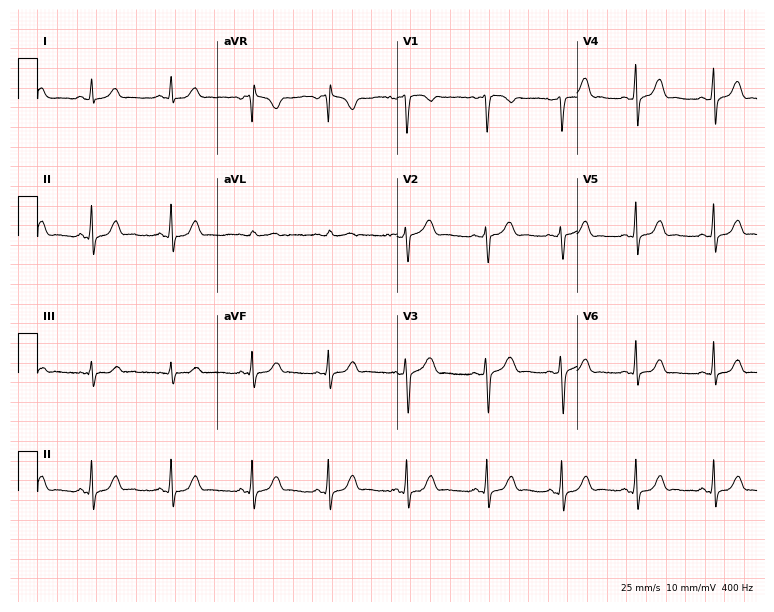
12-lead ECG from a woman, 37 years old. Recorded interpretation: within normal limits.